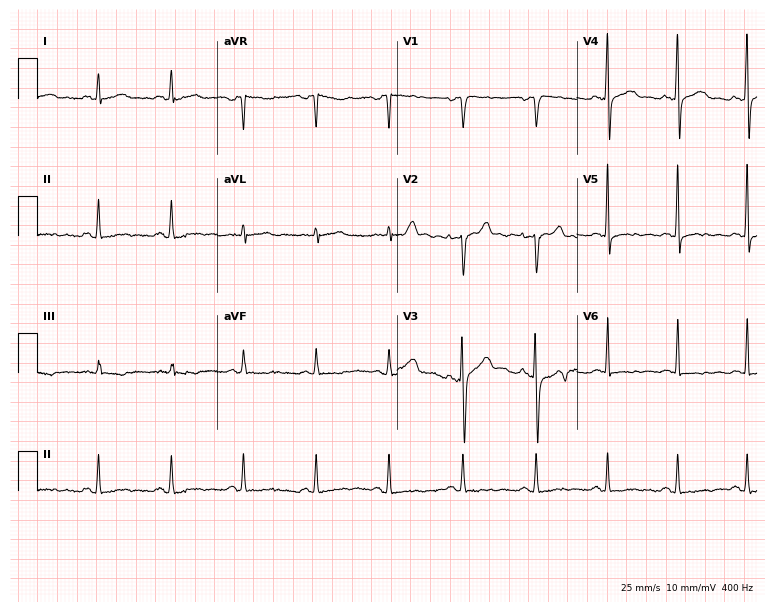
12-lead ECG from a 40-year-old male (7.3-second recording at 400 Hz). No first-degree AV block, right bundle branch block, left bundle branch block, sinus bradycardia, atrial fibrillation or sinus tachycardia recorded for this tracing.